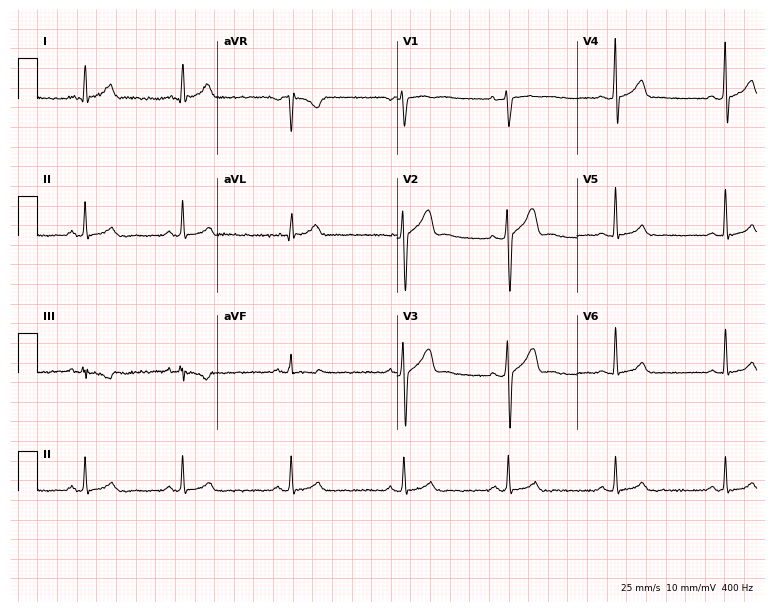
Standard 12-lead ECG recorded from a man, 39 years old (7.3-second recording at 400 Hz). Read as a normal ECG.